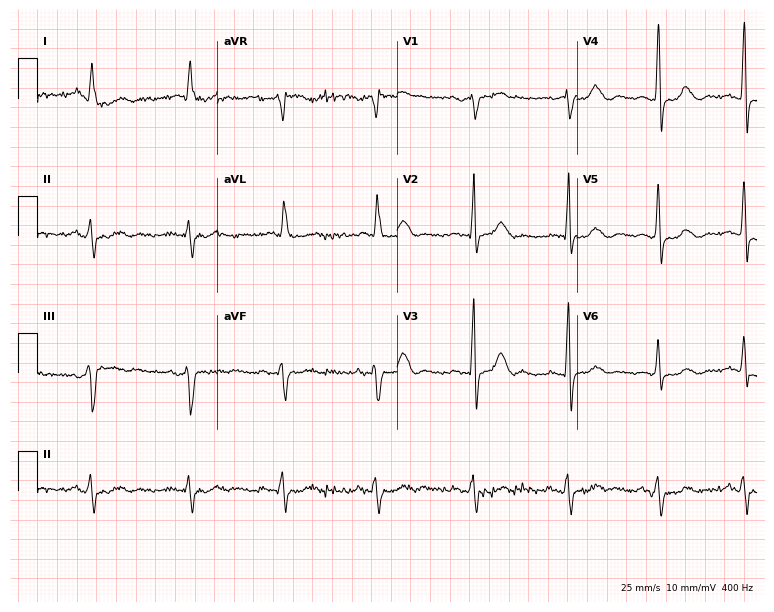
Standard 12-lead ECG recorded from a man, 83 years old. None of these six findings is recorded: first-degree AV block, right bundle branch block, left bundle branch block, sinus bradycardia, atrial fibrillation, sinus tachycardia. Findings outside these six are not listed.